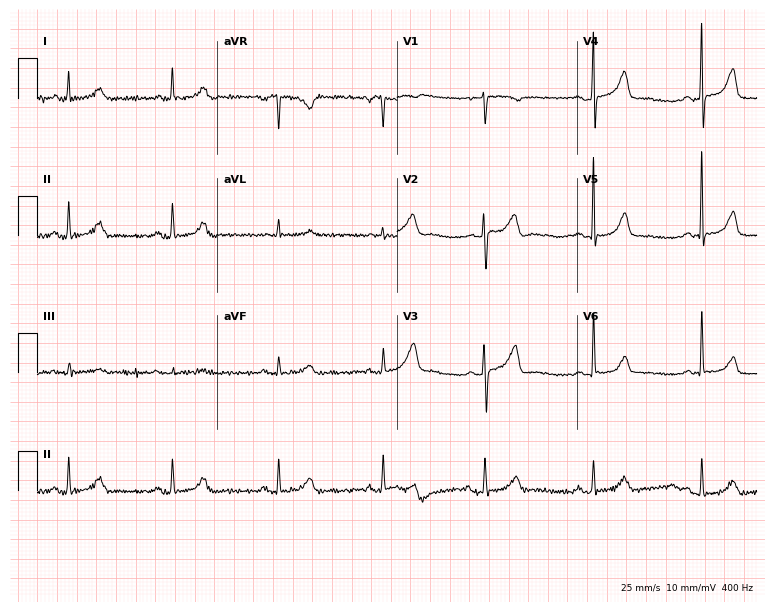
Standard 12-lead ECG recorded from a 61-year-old female (7.3-second recording at 400 Hz). None of these six findings is recorded: first-degree AV block, right bundle branch block (RBBB), left bundle branch block (LBBB), sinus bradycardia, atrial fibrillation (AF), sinus tachycardia.